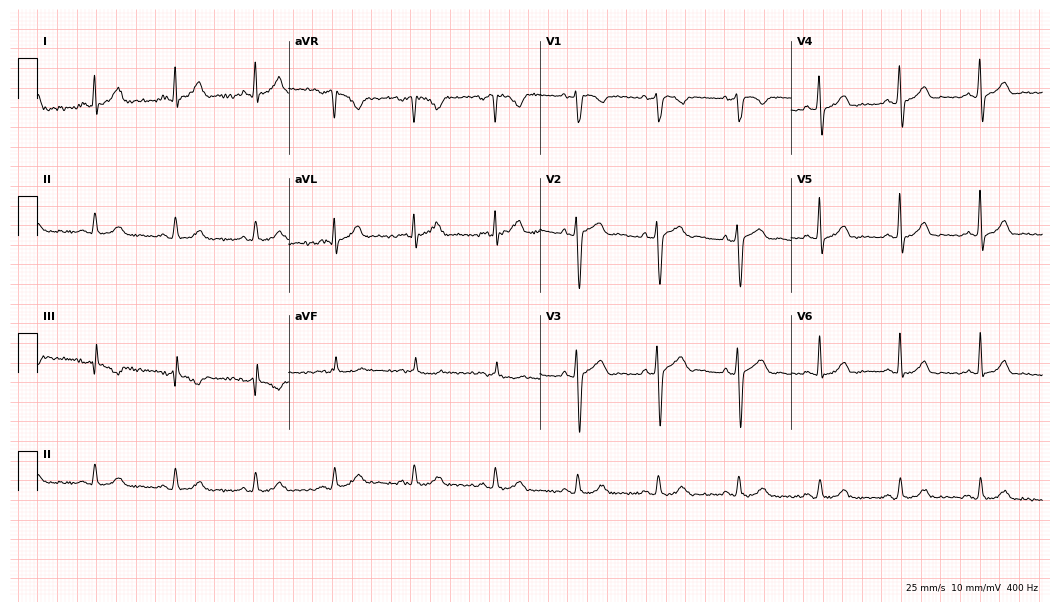
ECG — a 40-year-old male patient. Labelled as a normal ECG.